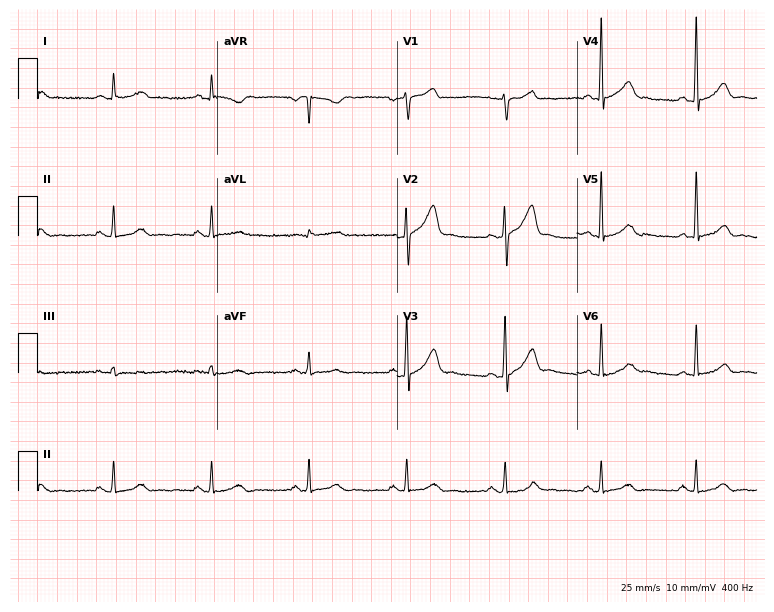
ECG — a 64-year-old man. Labelled as a normal ECG.